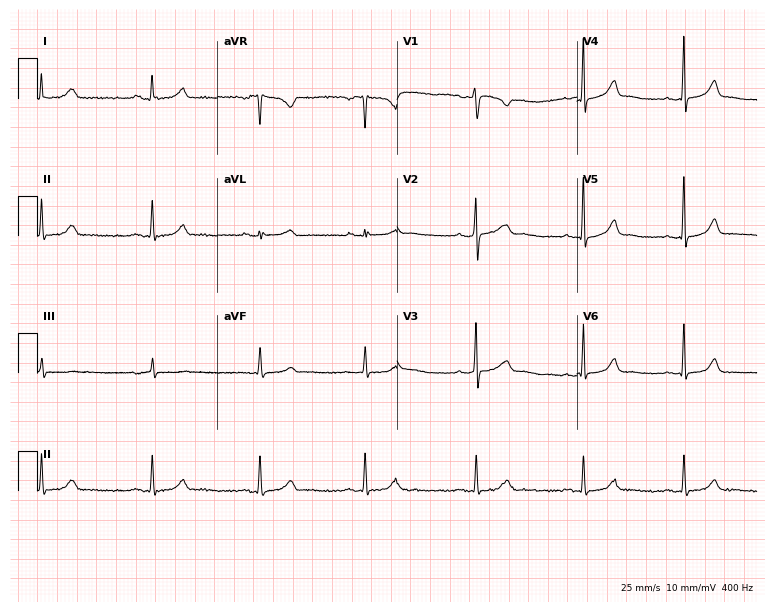
Electrocardiogram, a female patient, 24 years old. Overall reading on record: normal ECG.